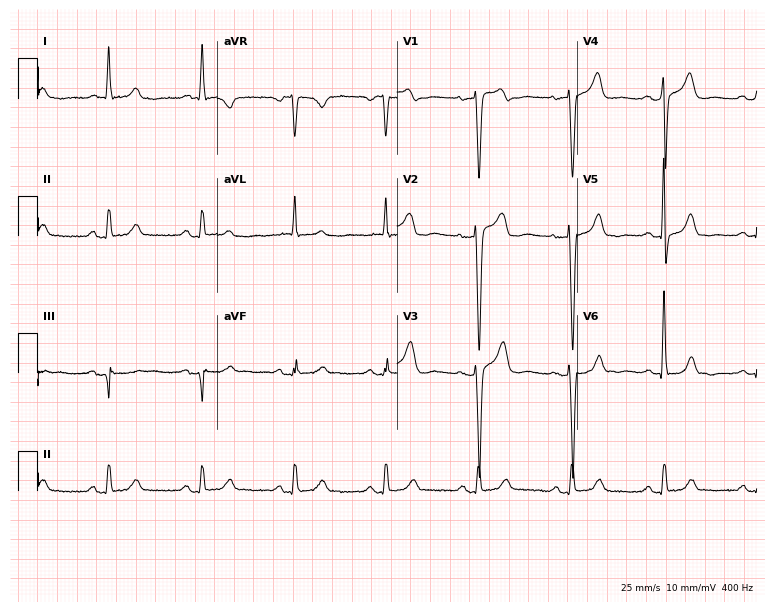
Electrocardiogram, a woman, 83 years old. Overall reading on record: normal ECG.